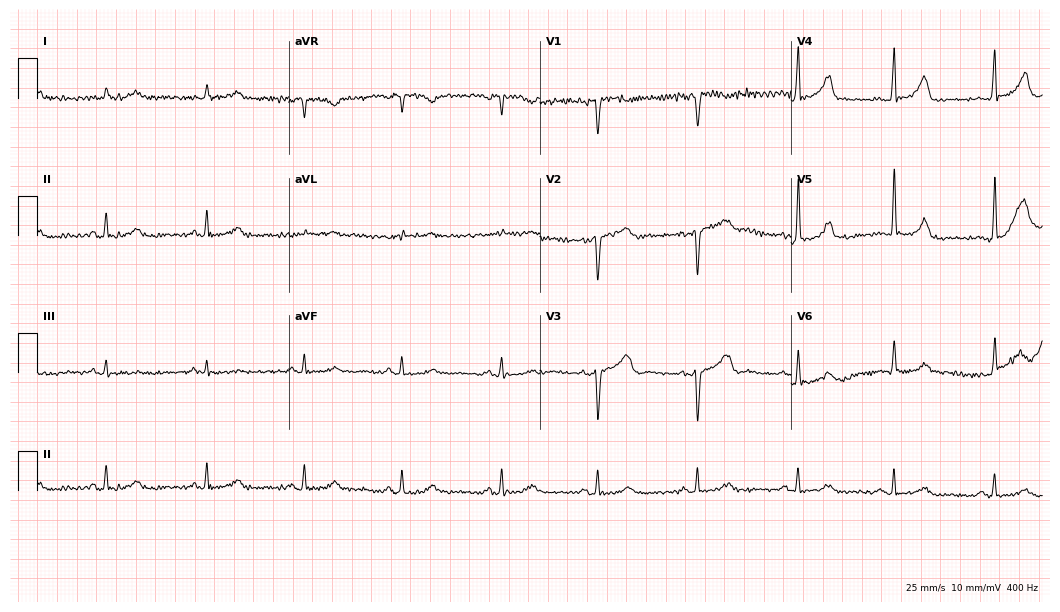
12-lead ECG from an 84-year-old male patient. Recorded interpretation: within normal limits.